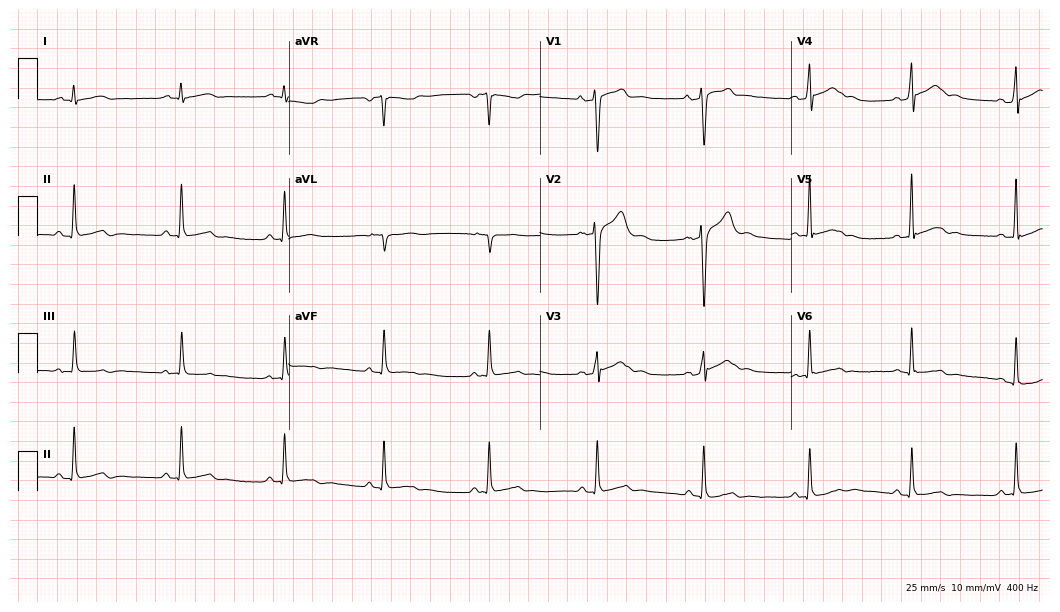
Resting 12-lead electrocardiogram (10.2-second recording at 400 Hz). Patient: a man, 32 years old. Read as a normal ECG.